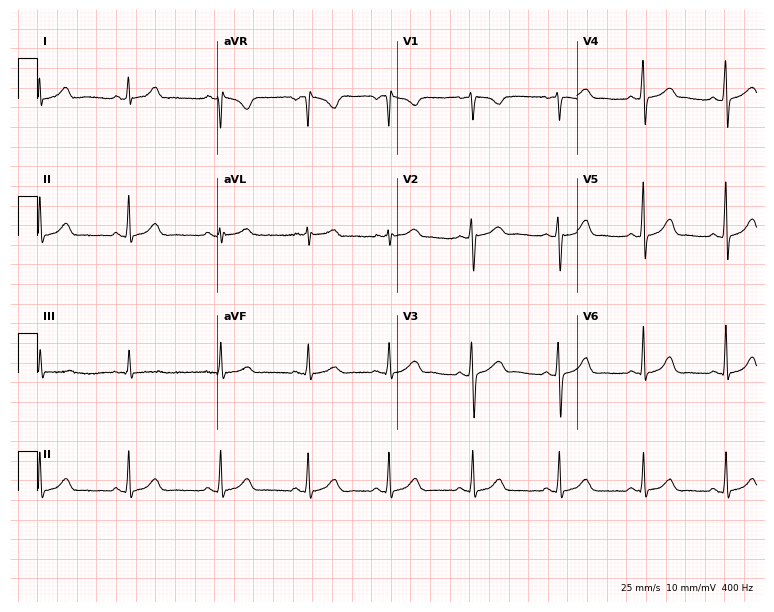
12-lead ECG from a female, 28 years old. Labelled as a normal ECG.